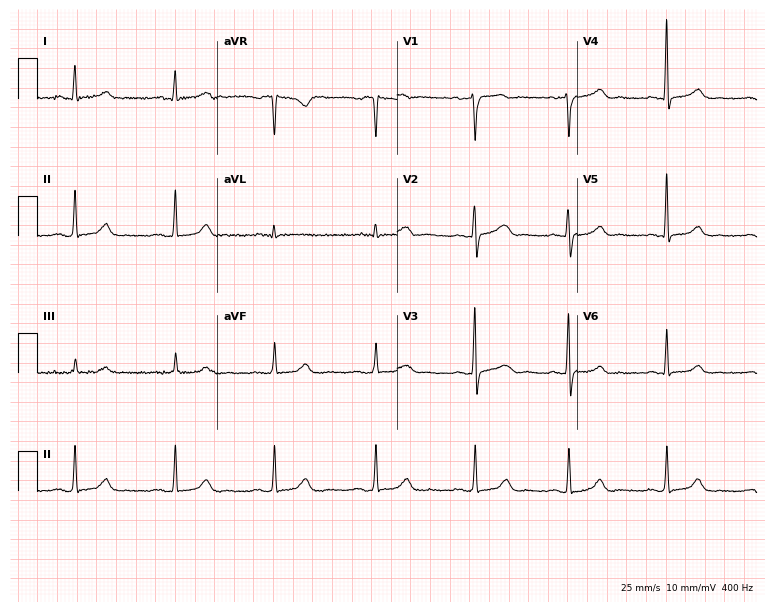
12-lead ECG from a 54-year-old woman. Labelled as a normal ECG.